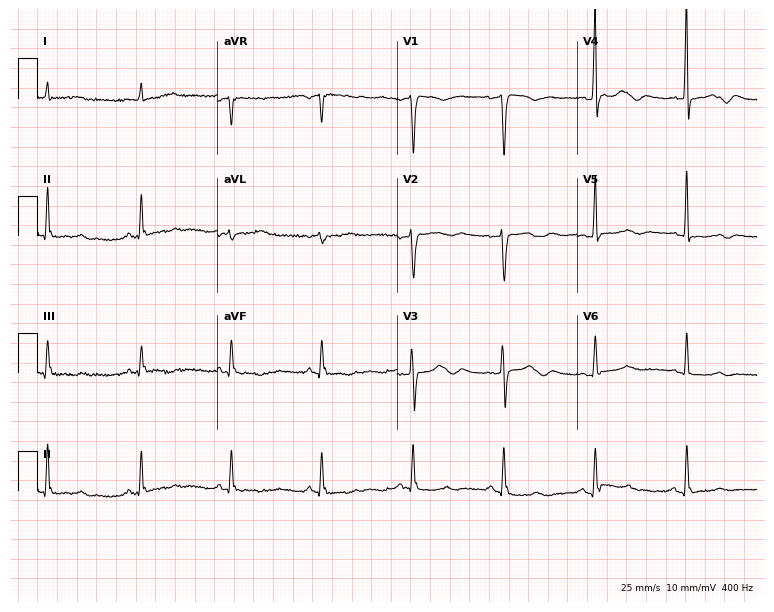
Resting 12-lead electrocardiogram. Patient: a male, 79 years old. None of these six findings is recorded: first-degree AV block, right bundle branch block, left bundle branch block, sinus bradycardia, atrial fibrillation, sinus tachycardia.